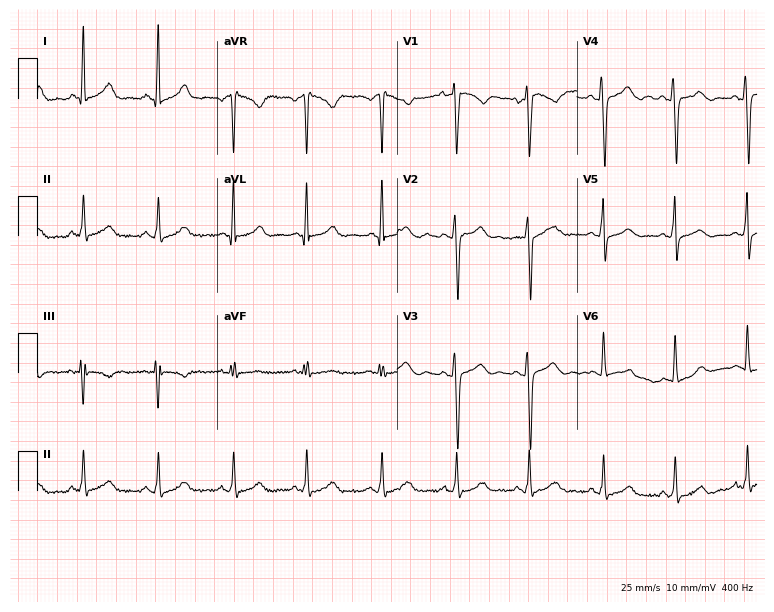
12-lead ECG from a female patient, 24 years old (7.3-second recording at 400 Hz). Recorded interpretation: within normal limits.